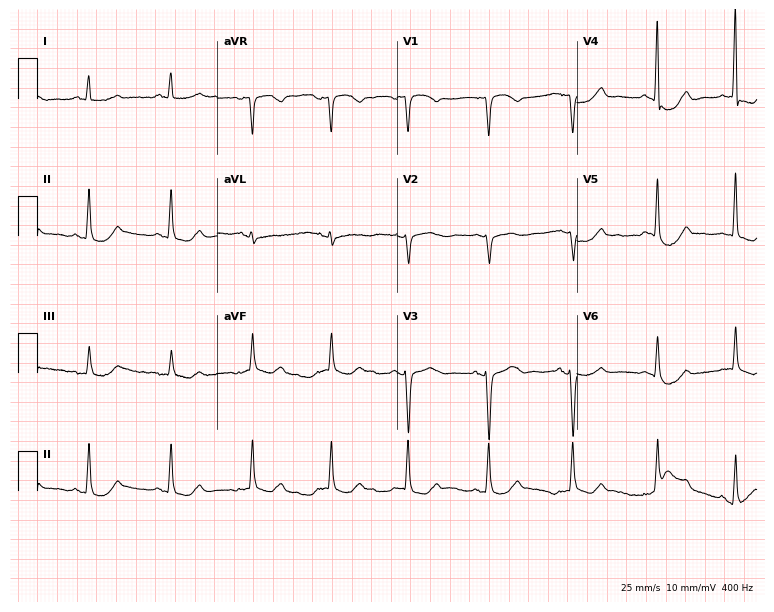
ECG (7.3-second recording at 400 Hz) — a woman, 54 years old. Screened for six findings — first-degree AV block, right bundle branch block, left bundle branch block, sinus bradycardia, atrial fibrillation, sinus tachycardia — none is recorded. Findings outside these six are not listed.